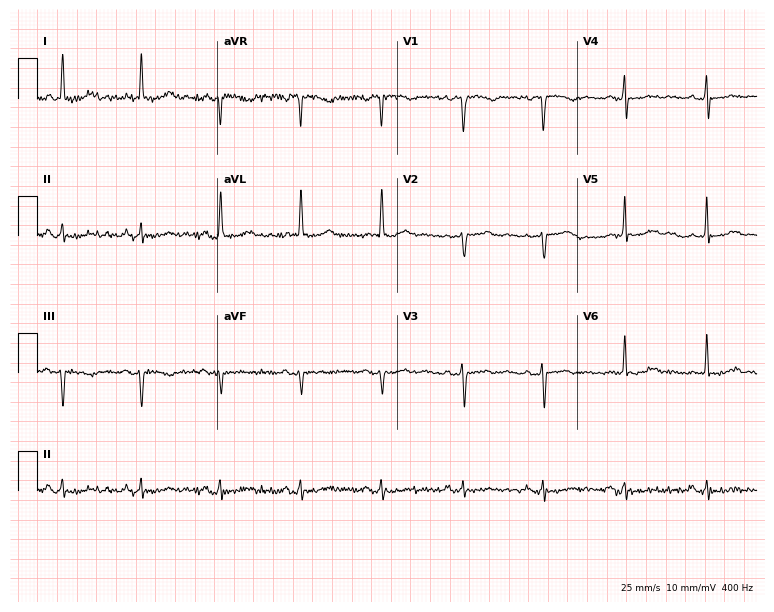
Electrocardiogram (7.3-second recording at 400 Hz), a 79-year-old woman. Overall reading on record: normal ECG.